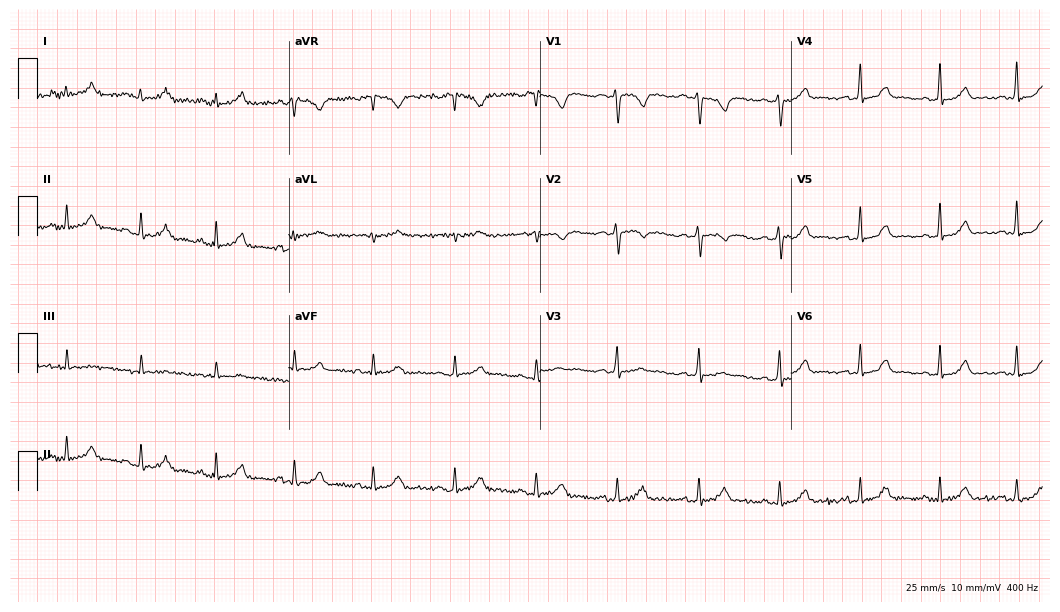
Electrocardiogram (10.2-second recording at 400 Hz), a female patient, 33 years old. Overall reading on record: normal ECG.